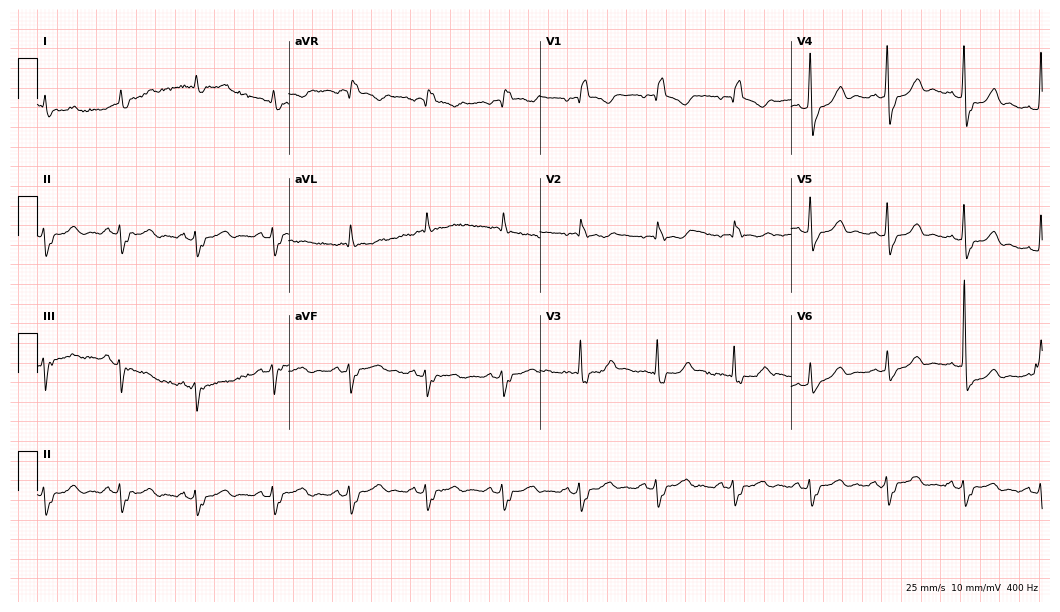
12-lead ECG from a female, 78 years old (10.2-second recording at 400 Hz). Shows right bundle branch block.